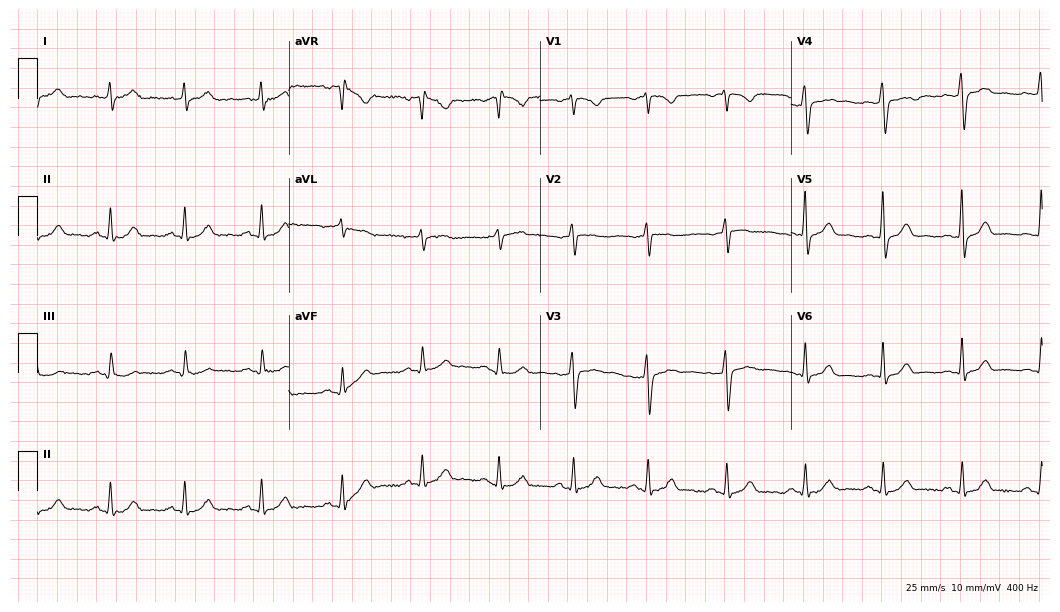
ECG — a 38-year-old man. Screened for six findings — first-degree AV block, right bundle branch block (RBBB), left bundle branch block (LBBB), sinus bradycardia, atrial fibrillation (AF), sinus tachycardia — none is recorded. Other findings, if any, are not listed.